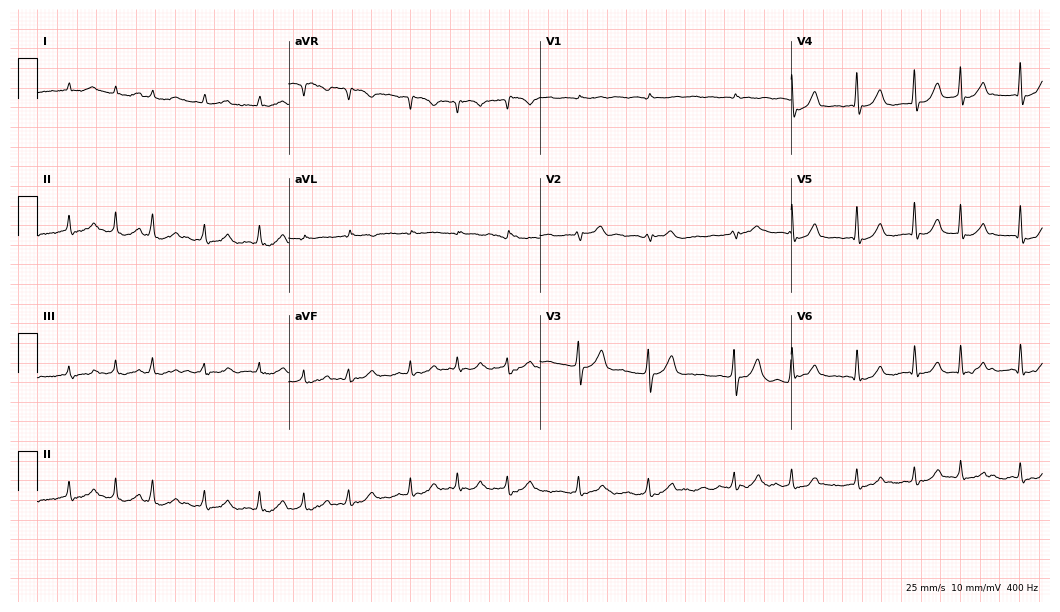
Standard 12-lead ECG recorded from a male patient, 65 years old. The tracing shows atrial fibrillation.